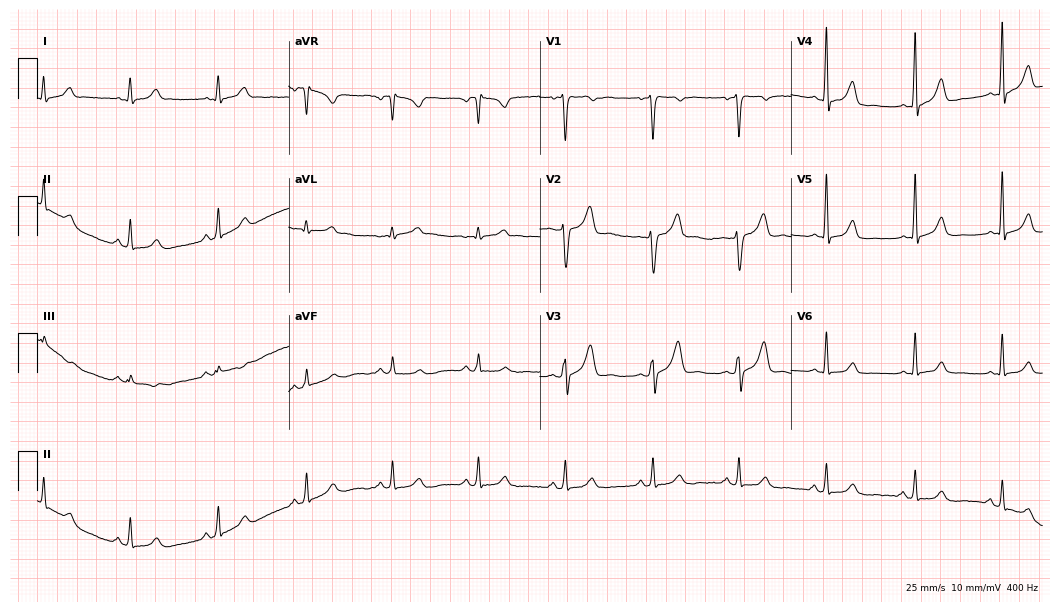
ECG — a man, 39 years old. Labelled as a normal ECG.